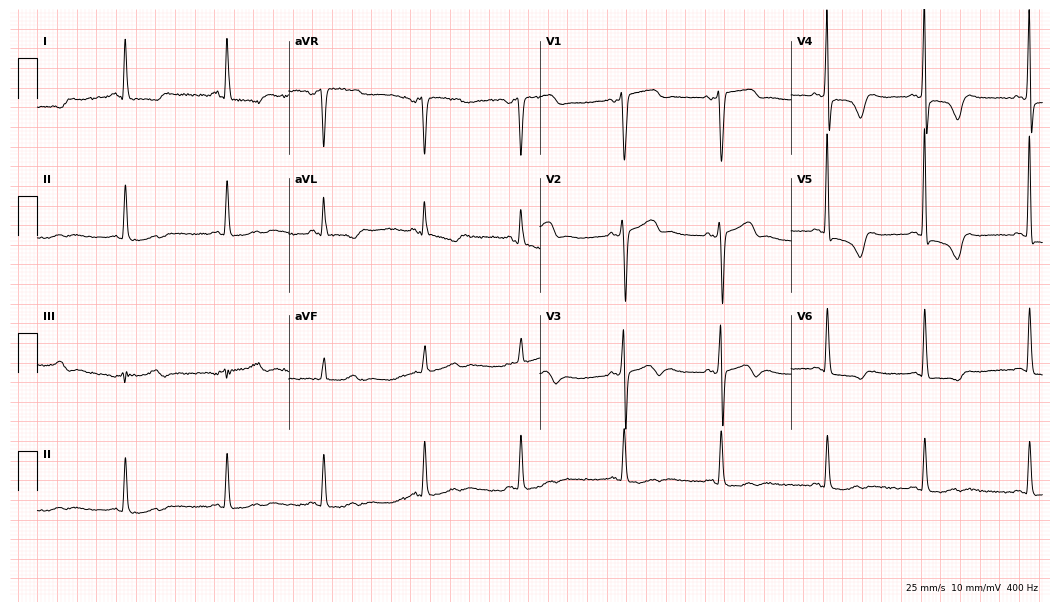
Electrocardiogram, a 48-year-old female patient. Of the six screened findings (first-degree AV block, right bundle branch block (RBBB), left bundle branch block (LBBB), sinus bradycardia, atrial fibrillation (AF), sinus tachycardia), none is recorded. Other findings, if any, are not listed.